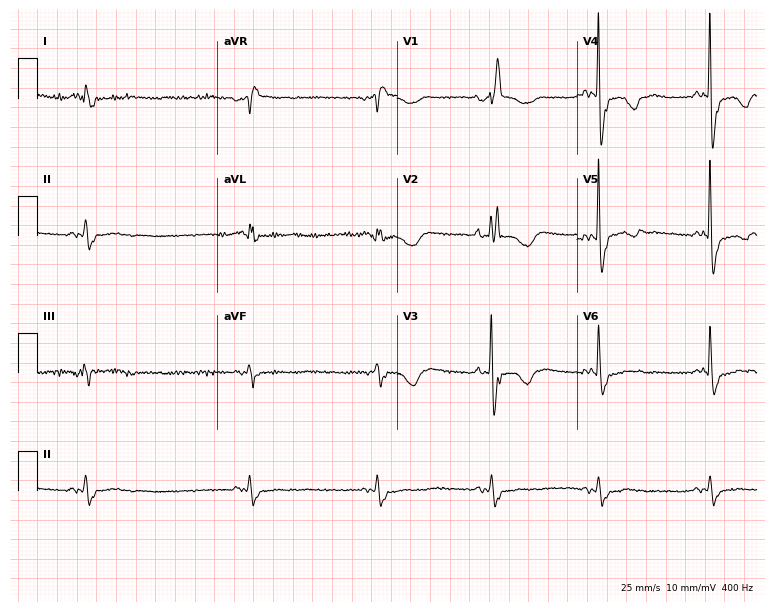
12-lead ECG from a 79-year-old female (7.3-second recording at 400 Hz). Shows right bundle branch block (RBBB).